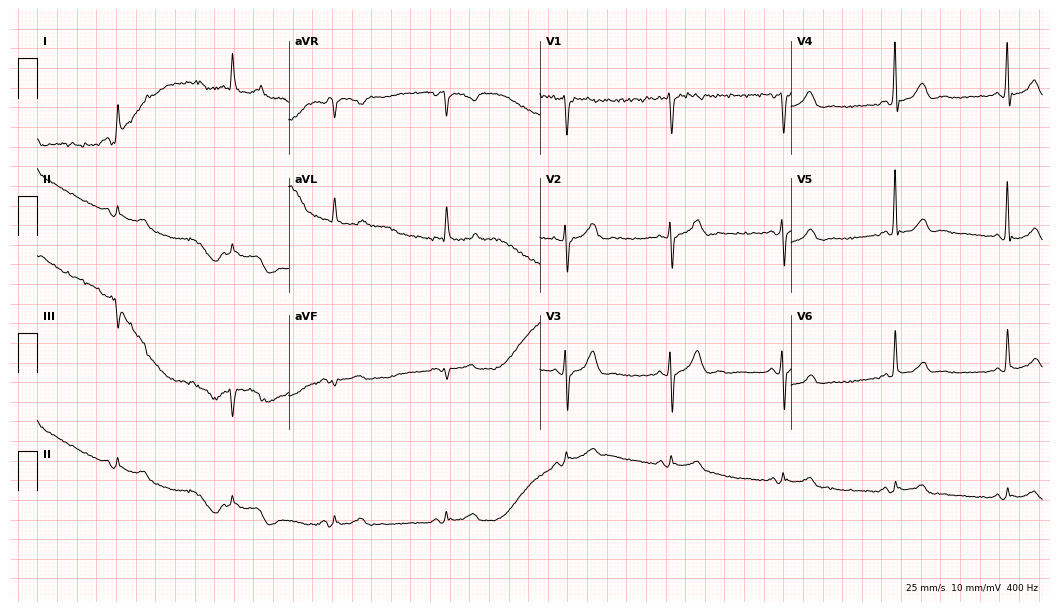
Electrocardiogram (10.2-second recording at 400 Hz), a man, 65 years old. Of the six screened findings (first-degree AV block, right bundle branch block (RBBB), left bundle branch block (LBBB), sinus bradycardia, atrial fibrillation (AF), sinus tachycardia), none is recorded.